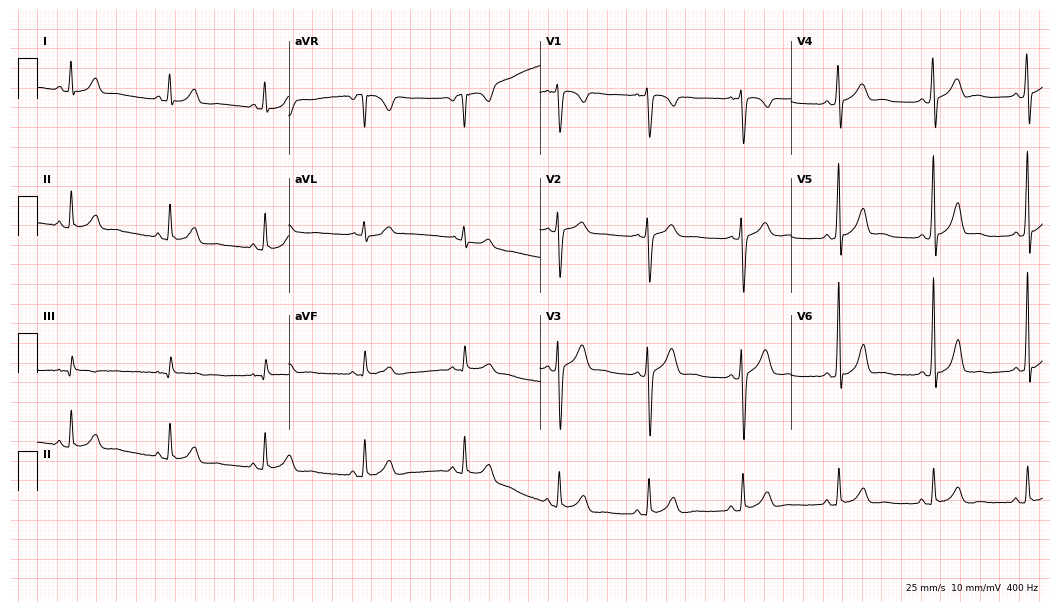
Electrocardiogram, a 26-year-old man. Overall reading on record: normal ECG.